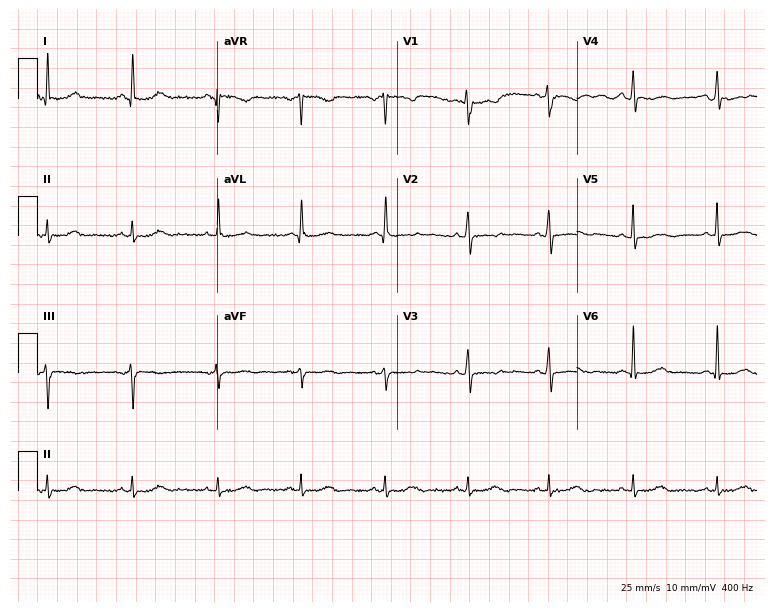
Resting 12-lead electrocardiogram. Patient: a 45-year-old female. None of these six findings is recorded: first-degree AV block, right bundle branch block, left bundle branch block, sinus bradycardia, atrial fibrillation, sinus tachycardia.